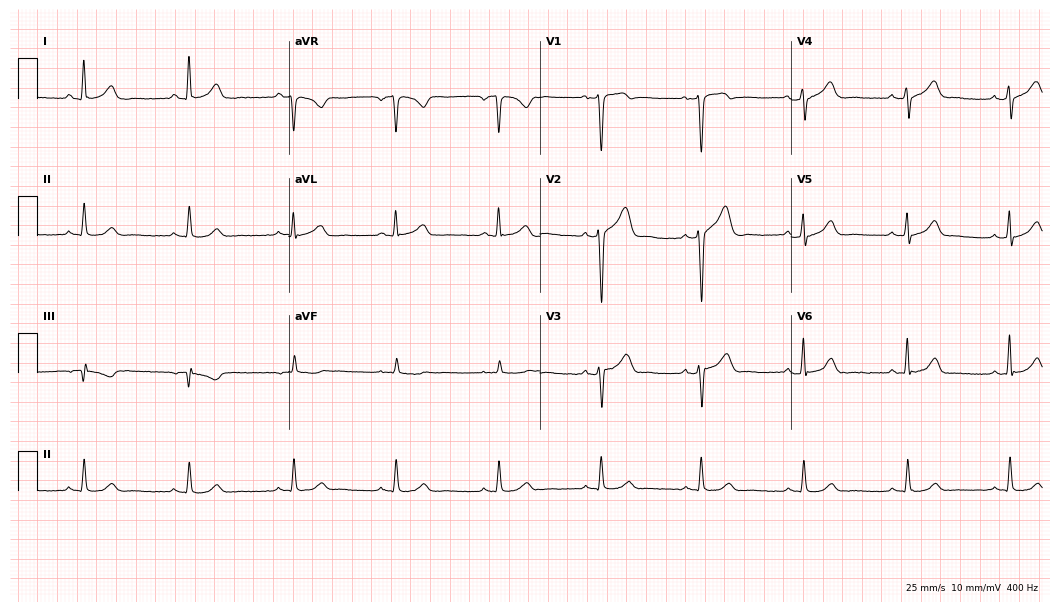
Resting 12-lead electrocardiogram. Patient: a male, 58 years old. The tracing shows sinus bradycardia (a sinus rate of 50 beats per minute or less).